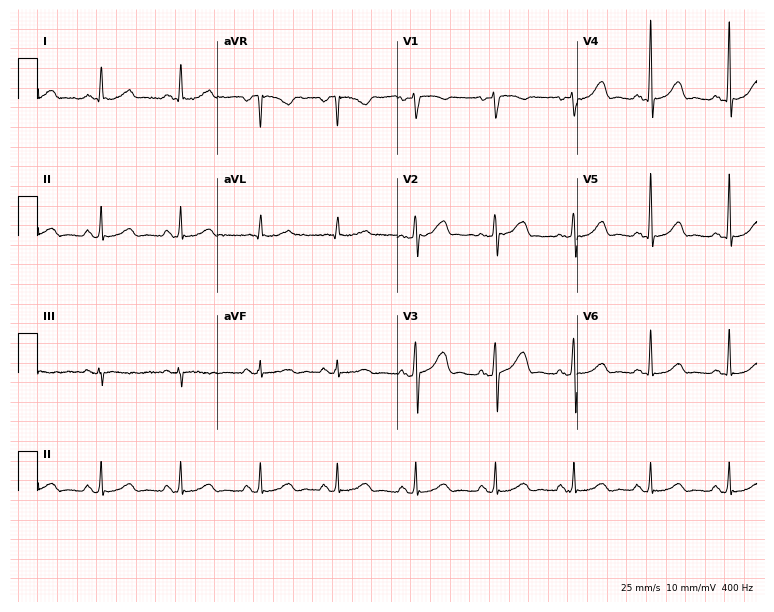
12-lead ECG from a female patient, 46 years old (7.3-second recording at 400 Hz). No first-degree AV block, right bundle branch block (RBBB), left bundle branch block (LBBB), sinus bradycardia, atrial fibrillation (AF) or sinus tachycardia recorded for this tracing. Findings outside these six are not listed.